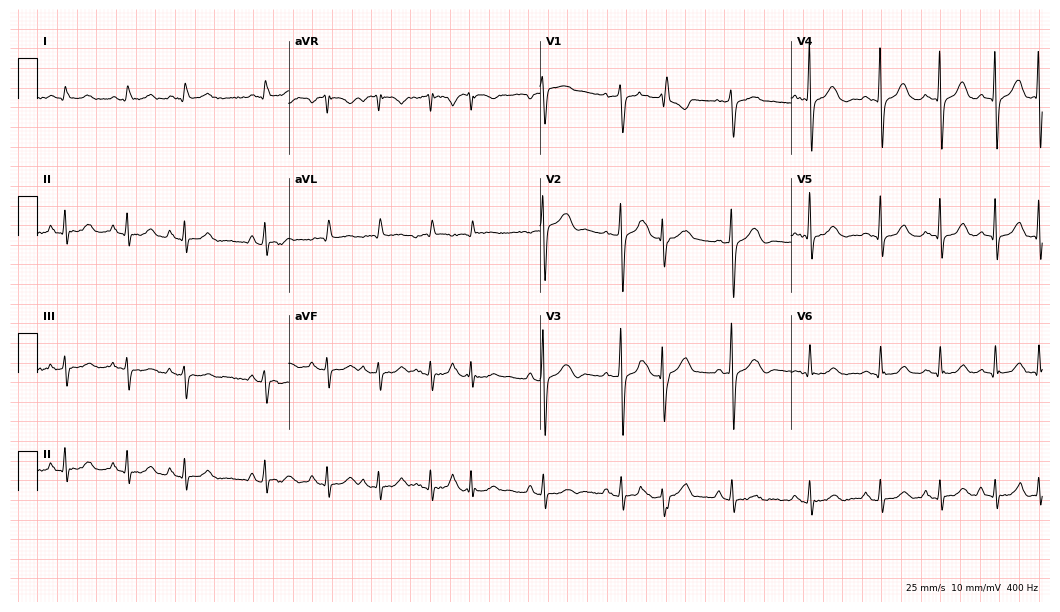
Resting 12-lead electrocardiogram. Patient: an 82-year-old male. None of these six findings is recorded: first-degree AV block, right bundle branch block (RBBB), left bundle branch block (LBBB), sinus bradycardia, atrial fibrillation (AF), sinus tachycardia. Other findings, if any, are not listed.